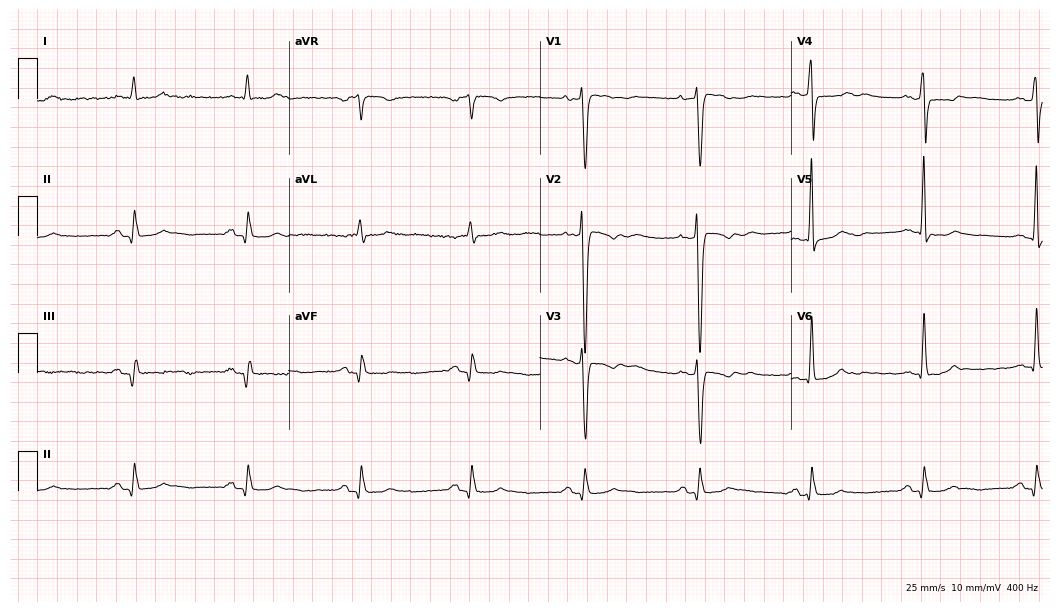
Standard 12-lead ECG recorded from a male, 68 years old (10.2-second recording at 400 Hz). None of these six findings is recorded: first-degree AV block, right bundle branch block, left bundle branch block, sinus bradycardia, atrial fibrillation, sinus tachycardia.